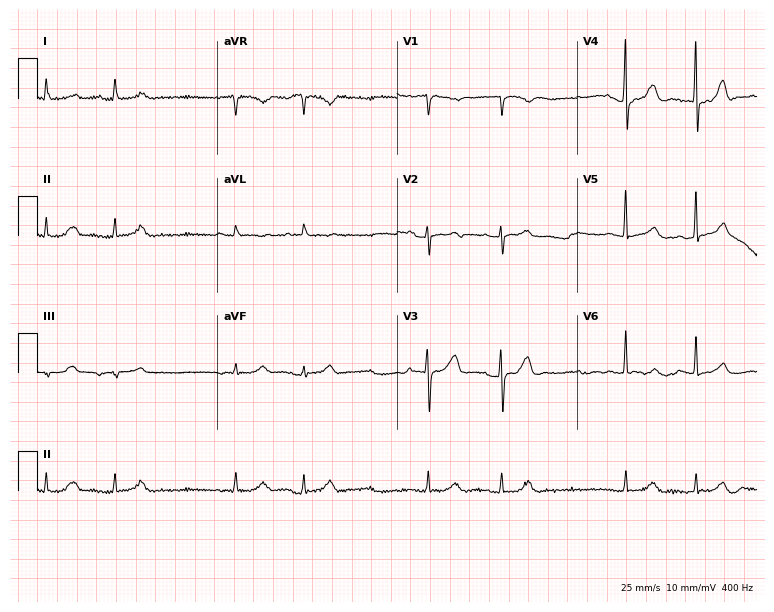
ECG — a 73-year-old male. Screened for six findings — first-degree AV block, right bundle branch block, left bundle branch block, sinus bradycardia, atrial fibrillation, sinus tachycardia — none is recorded. Findings outside these six are not listed.